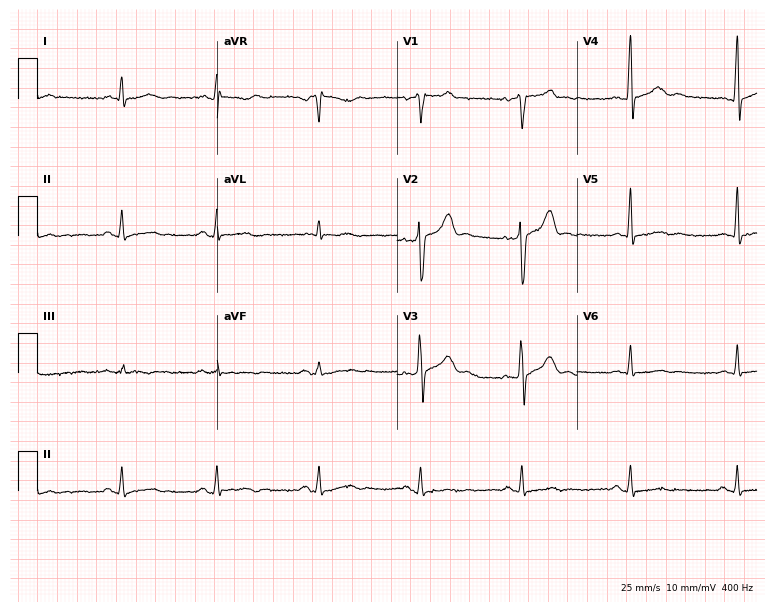
Electrocardiogram, a 46-year-old man. Overall reading on record: normal ECG.